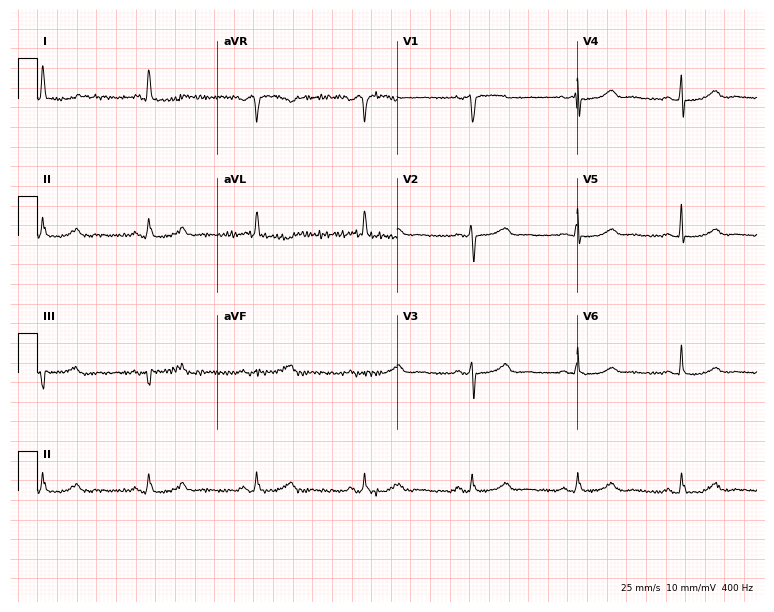
12-lead ECG from a female patient, 70 years old. Labelled as a normal ECG.